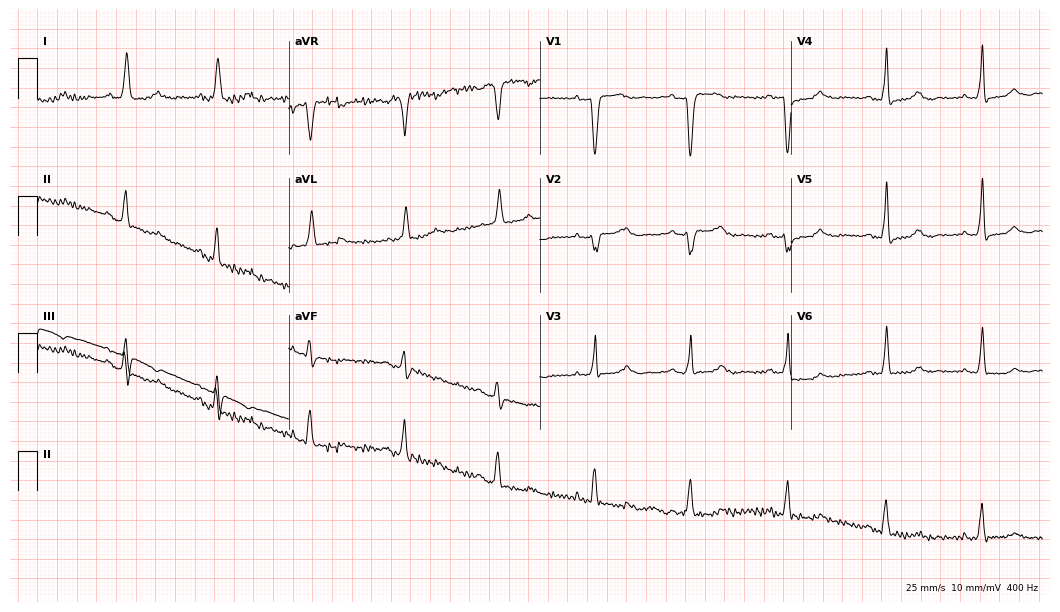
12-lead ECG from a female, 70 years old (10.2-second recording at 400 Hz). No first-degree AV block, right bundle branch block, left bundle branch block, sinus bradycardia, atrial fibrillation or sinus tachycardia recorded for this tracing.